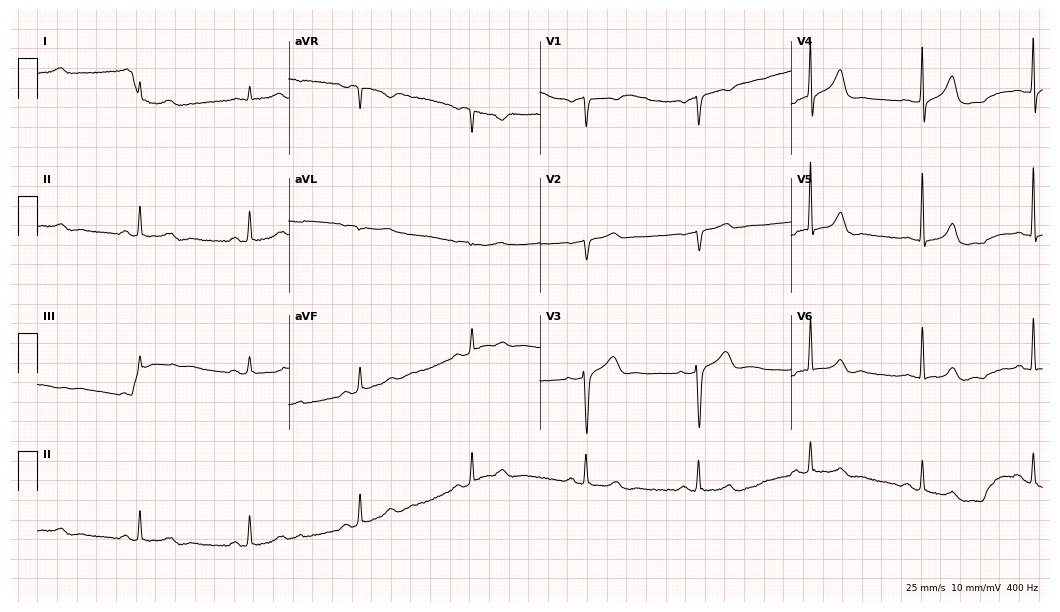
ECG (10.2-second recording at 400 Hz) — a 67-year-old male. Labelled as a normal ECG.